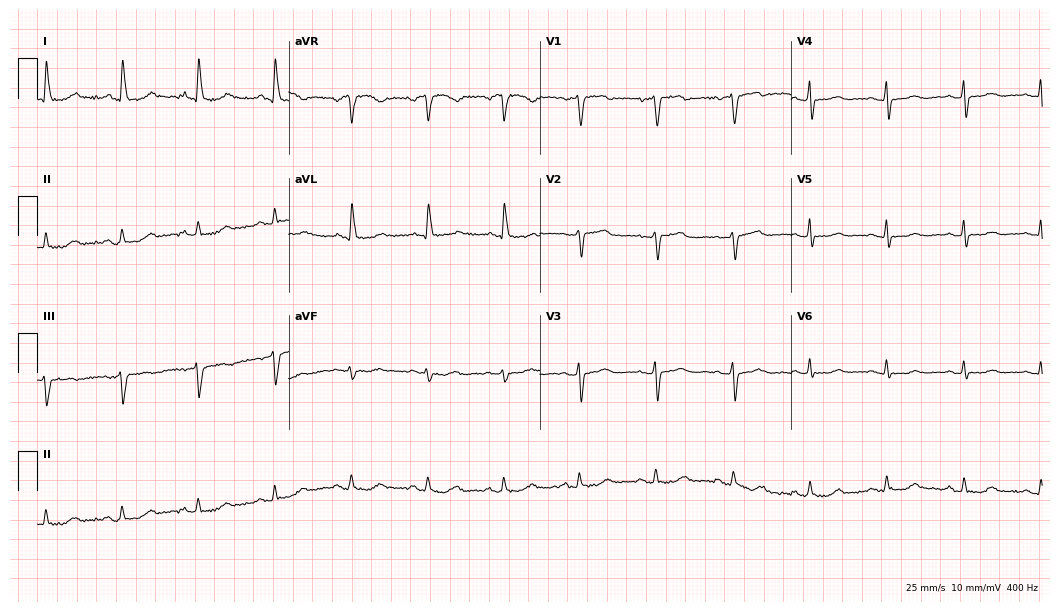
Resting 12-lead electrocardiogram. Patient: an 80-year-old female. Read as a normal ECG.